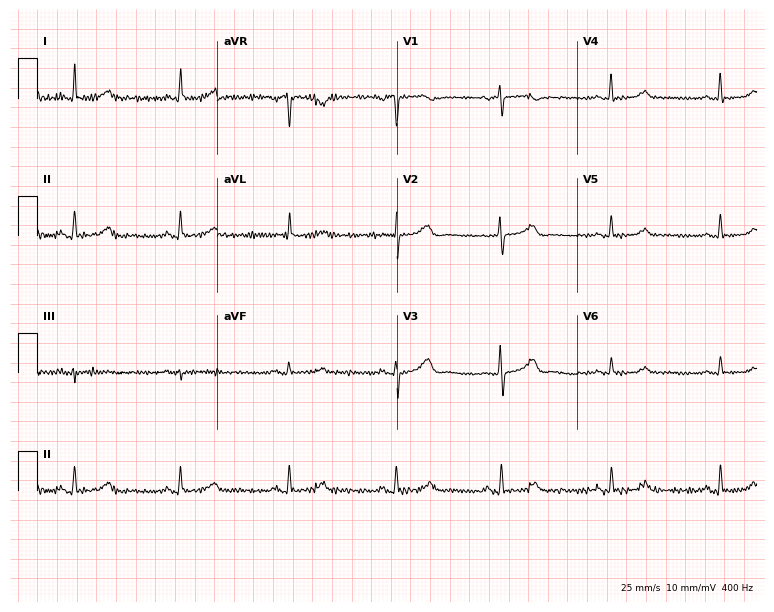
ECG — a woman, 67 years old. Labelled as a normal ECG.